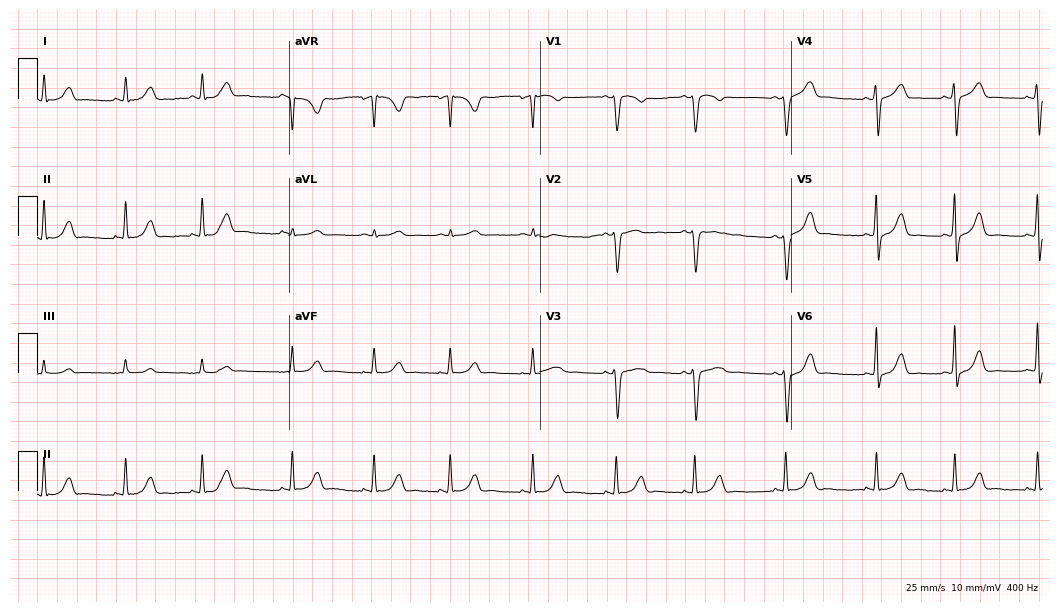
Electrocardiogram (10.2-second recording at 400 Hz), a woman, 25 years old. Overall reading on record: normal ECG.